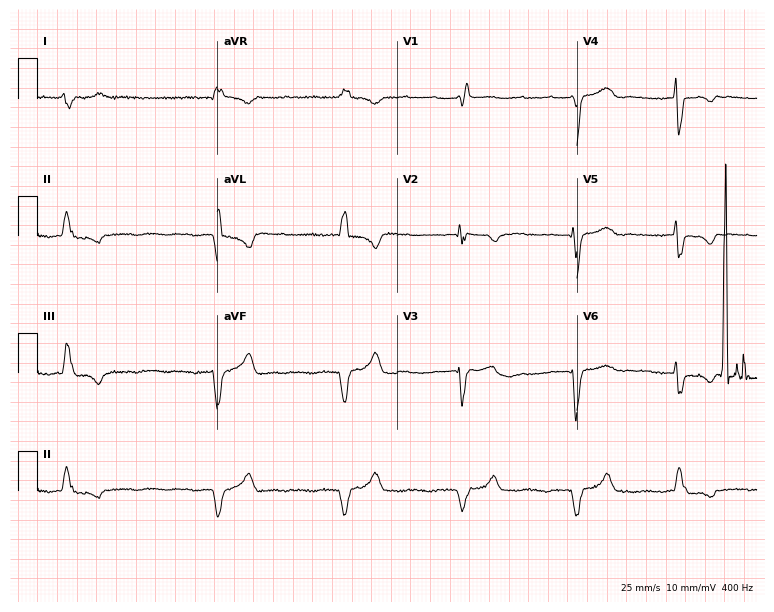
12-lead ECG from a 67-year-old man (7.3-second recording at 400 Hz). No first-degree AV block, right bundle branch block, left bundle branch block, sinus bradycardia, atrial fibrillation or sinus tachycardia recorded for this tracing.